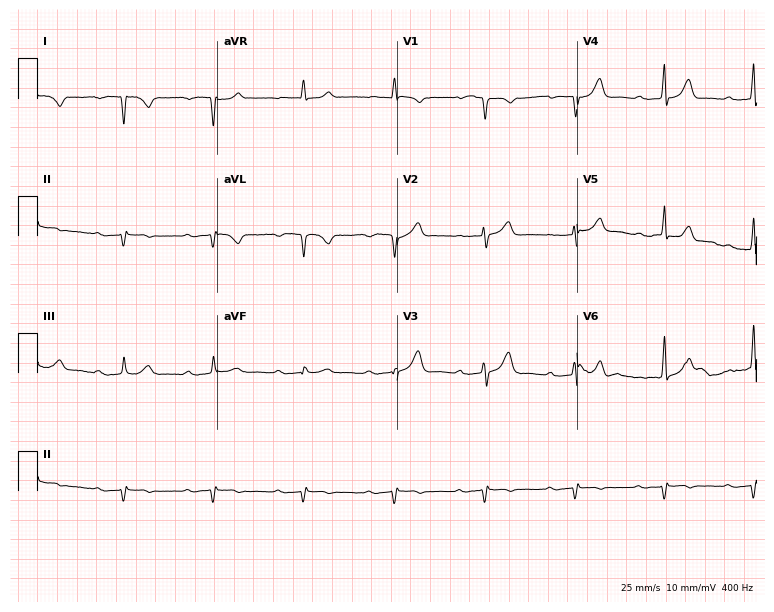
12-lead ECG from a male patient, 85 years old (7.3-second recording at 400 Hz). No first-degree AV block, right bundle branch block (RBBB), left bundle branch block (LBBB), sinus bradycardia, atrial fibrillation (AF) or sinus tachycardia recorded for this tracing. Only these six findings were labelled.